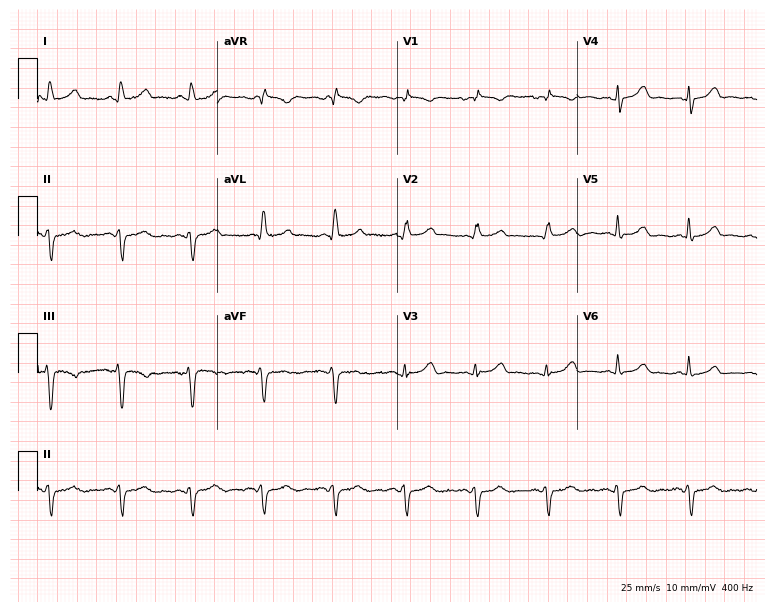
Standard 12-lead ECG recorded from a 55-year-old female patient (7.3-second recording at 400 Hz). None of these six findings is recorded: first-degree AV block, right bundle branch block, left bundle branch block, sinus bradycardia, atrial fibrillation, sinus tachycardia. Other findings, if any, are not listed.